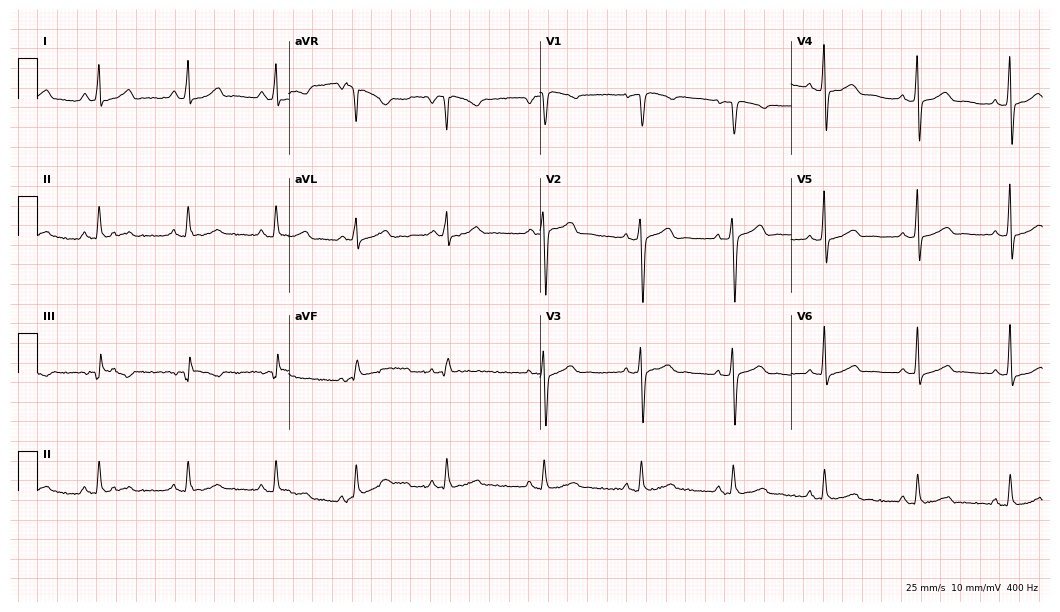
Standard 12-lead ECG recorded from a female, 35 years old. Read as a normal ECG.